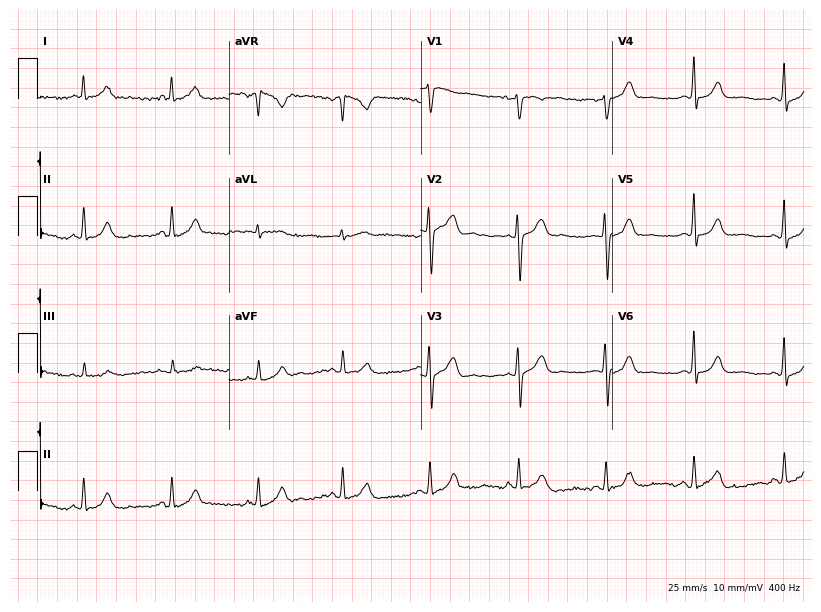
Electrocardiogram, a female, 49 years old. Of the six screened findings (first-degree AV block, right bundle branch block, left bundle branch block, sinus bradycardia, atrial fibrillation, sinus tachycardia), none is recorded. Findings outside these six are not listed.